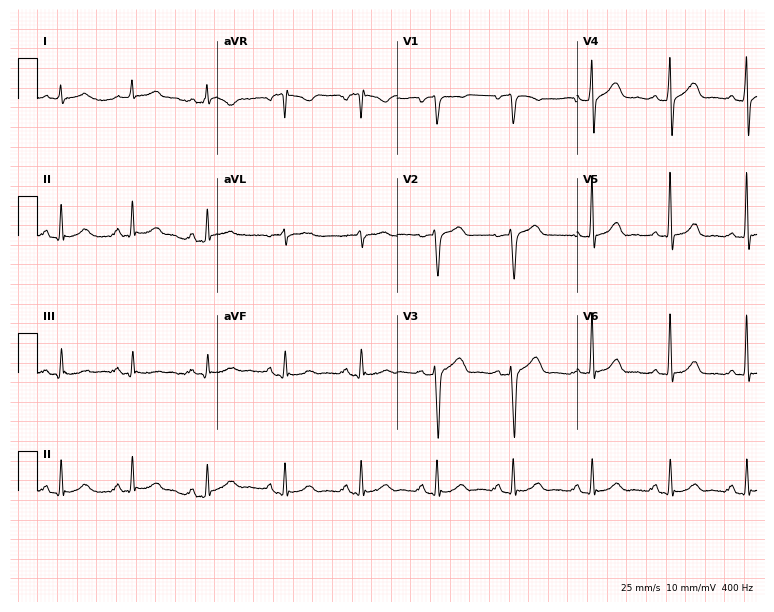
12-lead ECG from a male, 61 years old. Screened for six findings — first-degree AV block, right bundle branch block (RBBB), left bundle branch block (LBBB), sinus bradycardia, atrial fibrillation (AF), sinus tachycardia — none is recorded. Only these six findings were labelled.